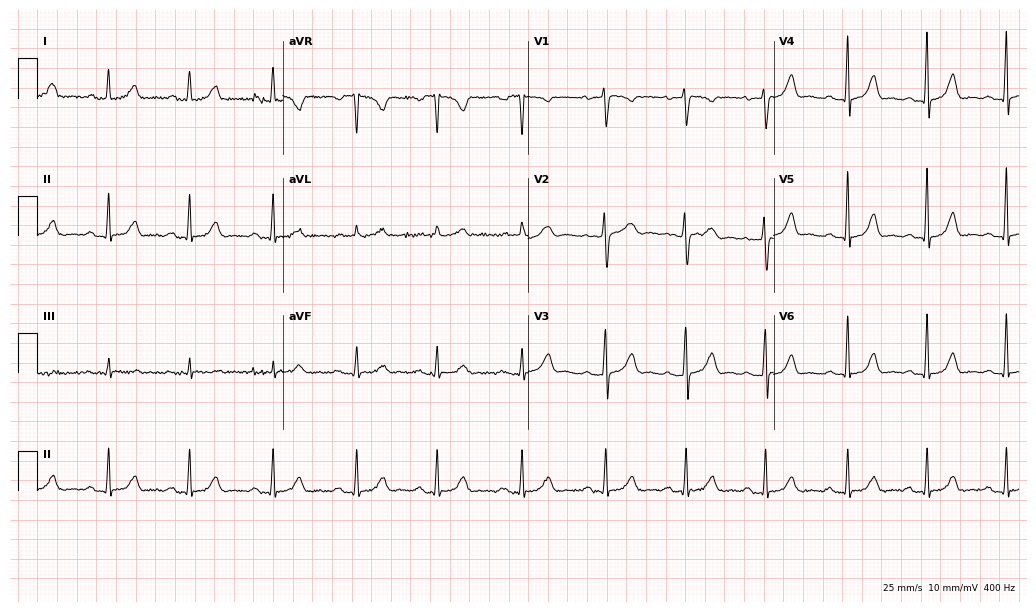
Resting 12-lead electrocardiogram. Patient: a female, 42 years old. None of these six findings is recorded: first-degree AV block, right bundle branch block, left bundle branch block, sinus bradycardia, atrial fibrillation, sinus tachycardia. Only these six findings were labelled.